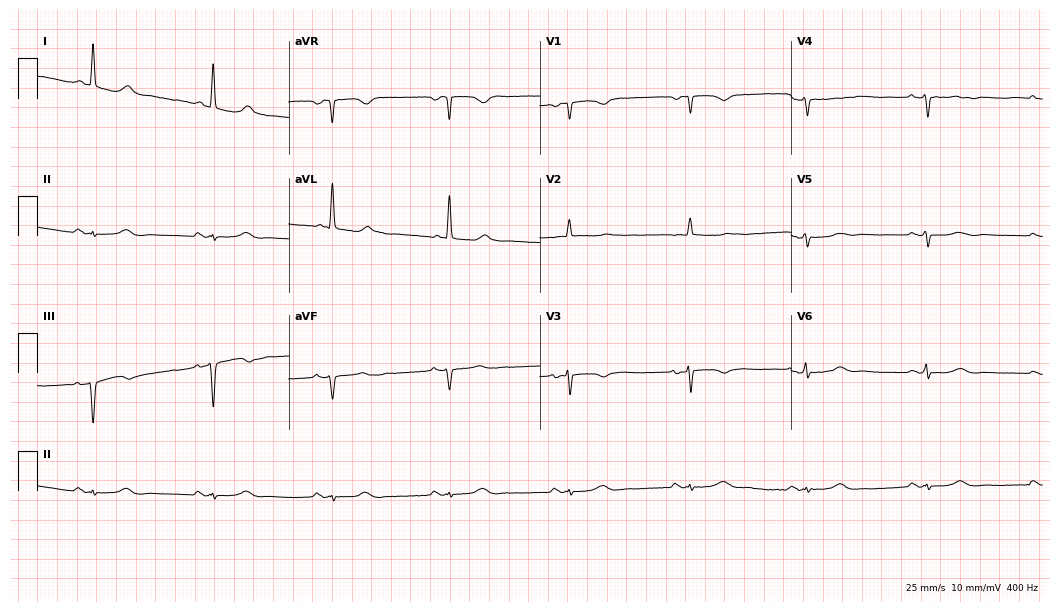
ECG (10.2-second recording at 400 Hz) — a female, 74 years old. Screened for six findings — first-degree AV block, right bundle branch block (RBBB), left bundle branch block (LBBB), sinus bradycardia, atrial fibrillation (AF), sinus tachycardia — none is recorded.